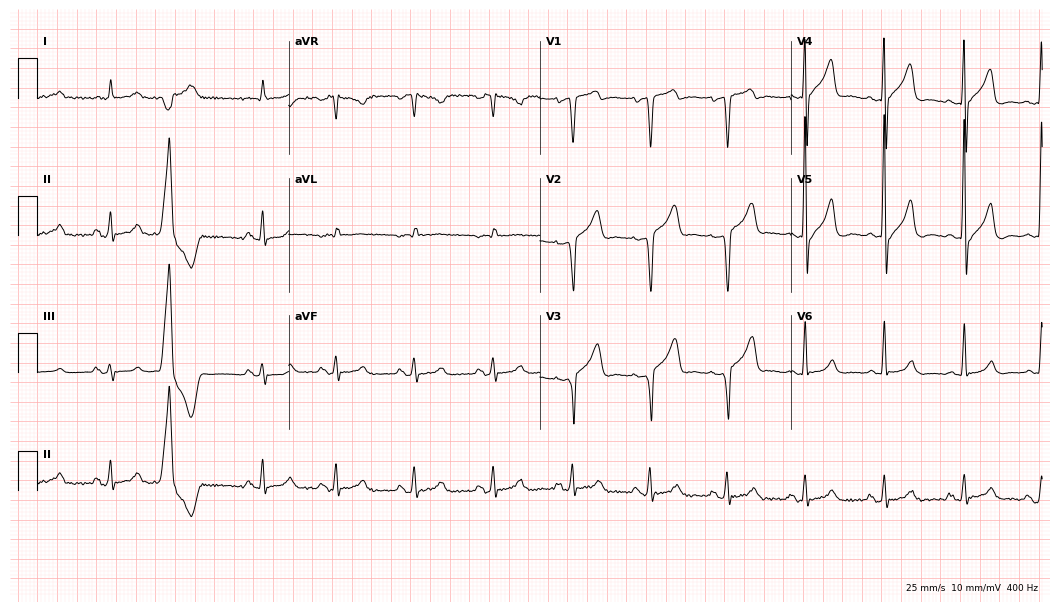
12-lead ECG (10.2-second recording at 400 Hz) from a male patient, 68 years old. Screened for six findings — first-degree AV block, right bundle branch block, left bundle branch block, sinus bradycardia, atrial fibrillation, sinus tachycardia — none is recorded.